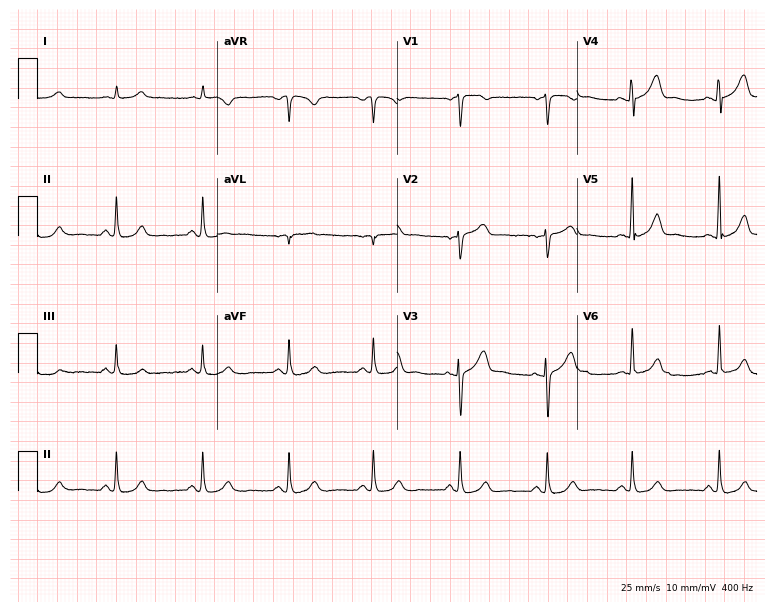
Resting 12-lead electrocardiogram. Patient: a 55-year-old male. Read as a normal ECG.